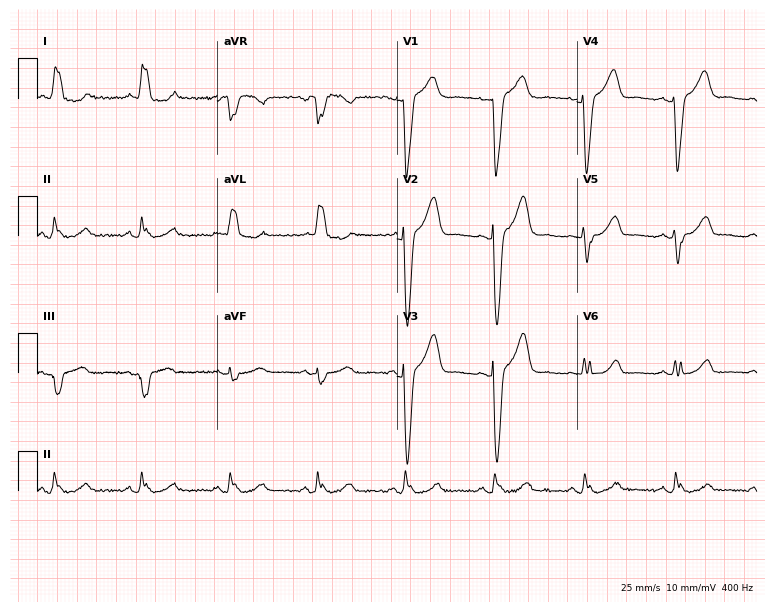
Standard 12-lead ECG recorded from a female patient, 62 years old (7.3-second recording at 400 Hz). The tracing shows left bundle branch block (LBBB).